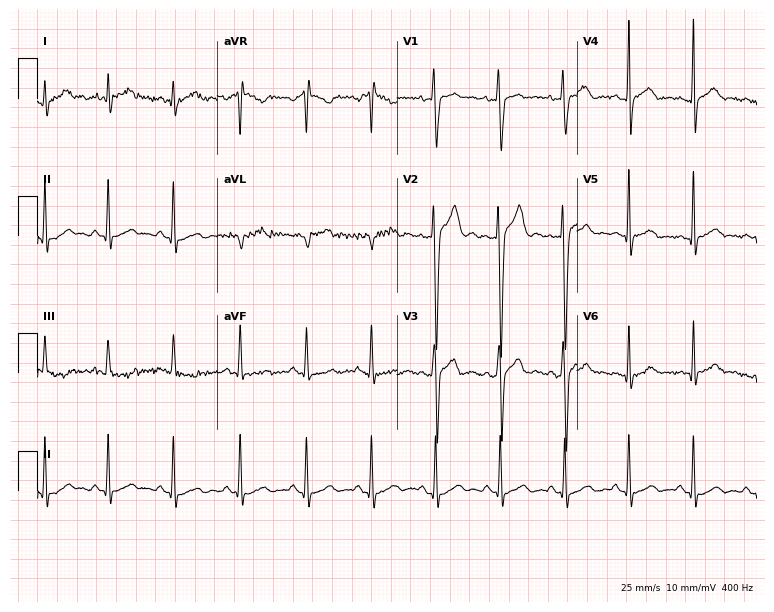
12-lead ECG from a 20-year-old male. Recorded interpretation: within normal limits.